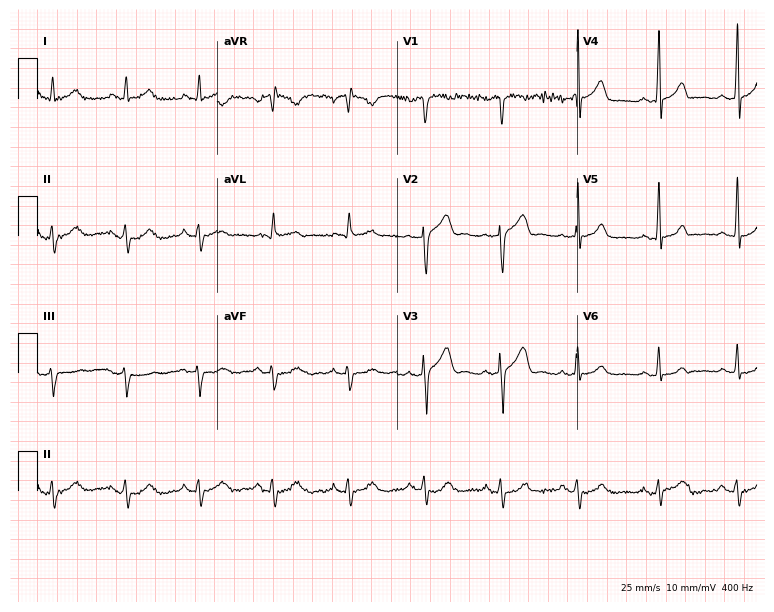
ECG (7.3-second recording at 400 Hz) — a male patient, 54 years old. Screened for six findings — first-degree AV block, right bundle branch block, left bundle branch block, sinus bradycardia, atrial fibrillation, sinus tachycardia — none is recorded.